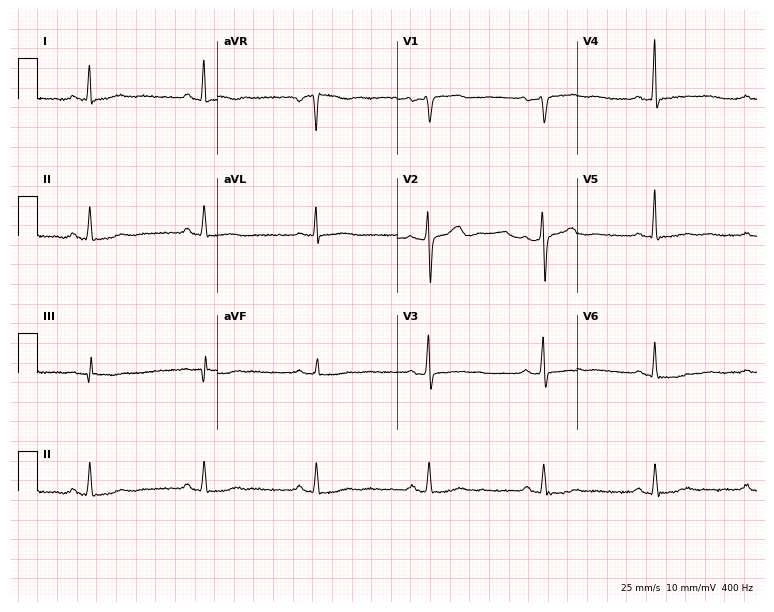
Resting 12-lead electrocardiogram. Patient: a 74-year-old male. None of these six findings is recorded: first-degree AV block, right bundle branch block (RBBB), left bundle branch block (LBBB), sinus bradycardia, atrial fibrillation (AF), sinus tachycardia. Other findings, if any, are not listed.